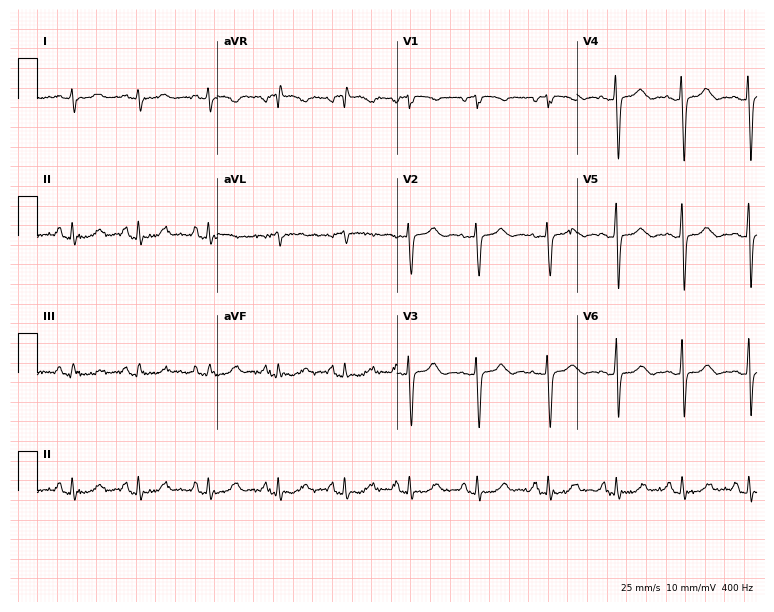
12-lead ECG (7.3-second recording at 400 Hz) from a 23-year-old female patient. Screened for six findings — first-degree AV block, right bundle branch block, left bundle branch block, sinus bradycardia, atrial fibrillation, sinus tachycardia — none is recorded.